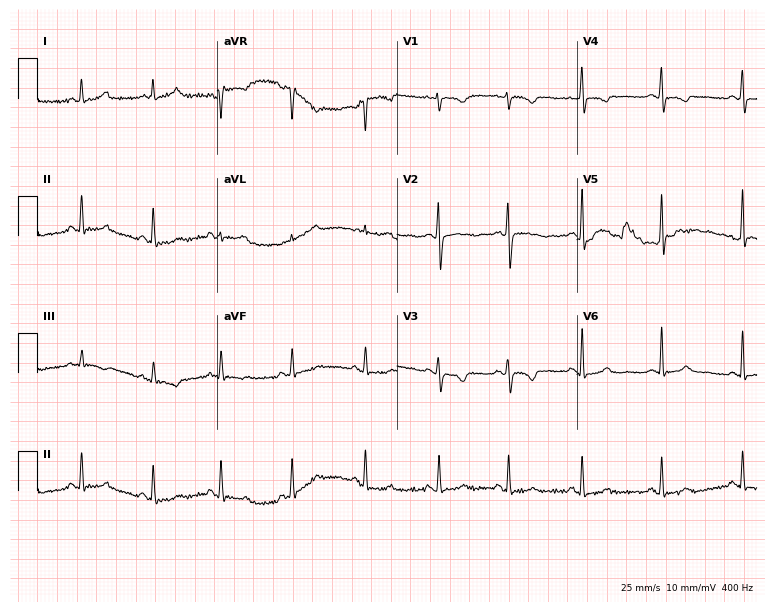
12-lead ECG from a woman, 34 years old. Screened for six findings — first-degree AV block, right bundle branch block (RBBB), left bundle branch block (LBBB), sinus bradycardia, atrial fibrillation (AF), sinus tachycardia — none is recorded. Findings outside these six are not listed.